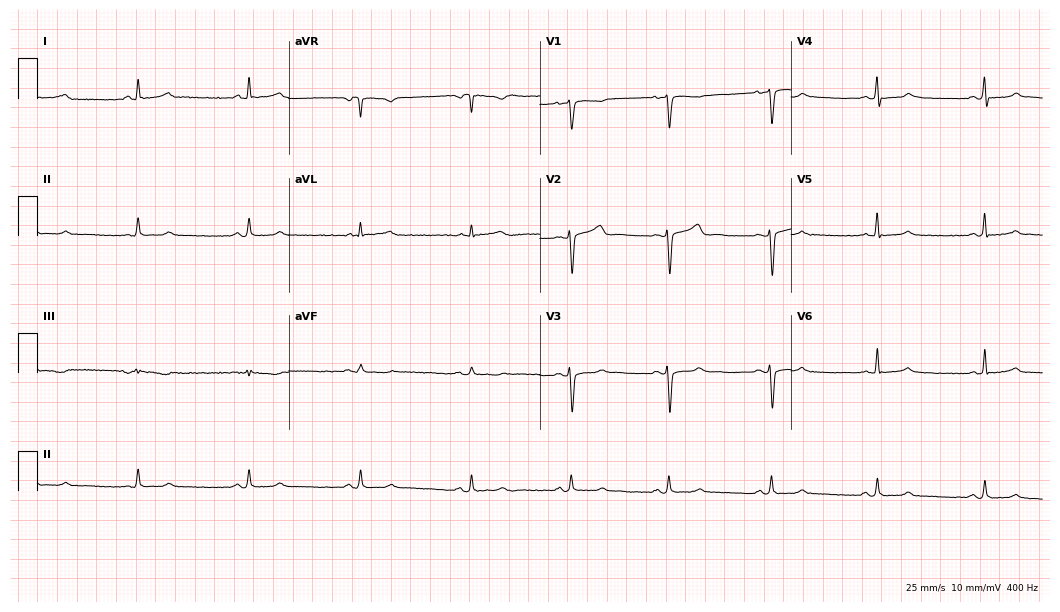
Resting 12-lead electrocardiogram (10.2-second recording at 400 Hz). Patient: a 35-year-old female. Read as a normal ECG.